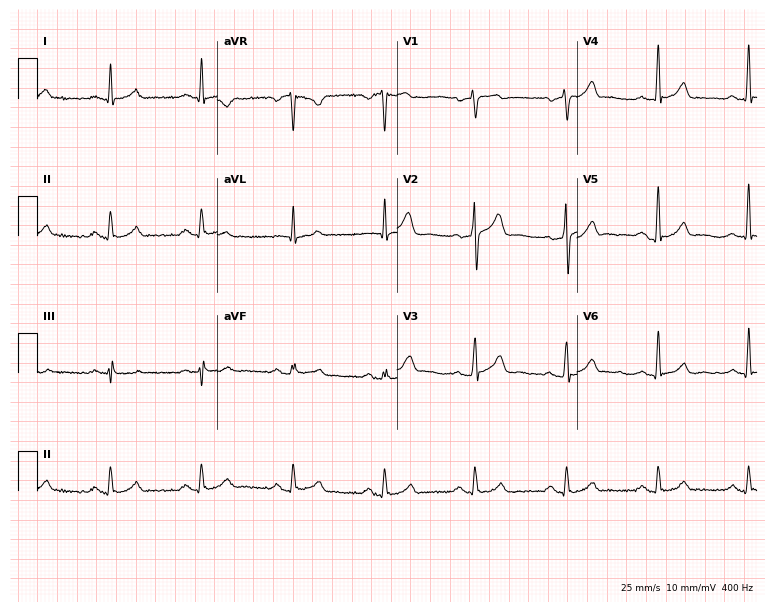
Electrocardiogram (7.3-second recording at 400 Hz), a man, 57 years old. Overall reading on record: normal ECG.